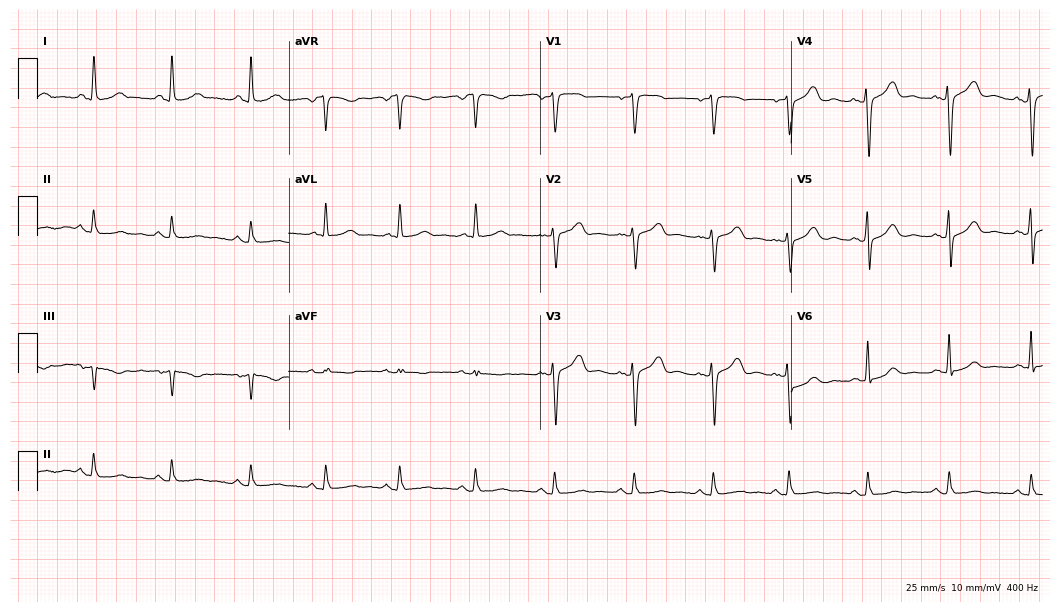
Electrocardiogram (10.2-second recording at 400 Hz), a female patient, 64 years old. Of the six screened findings (first-degree AV block, right bundle branch block, left bundle branch block, sinus bradycardia, atrial fibrillation, sinus tachycardia), none is recorded. Findings outside these six are not listed.